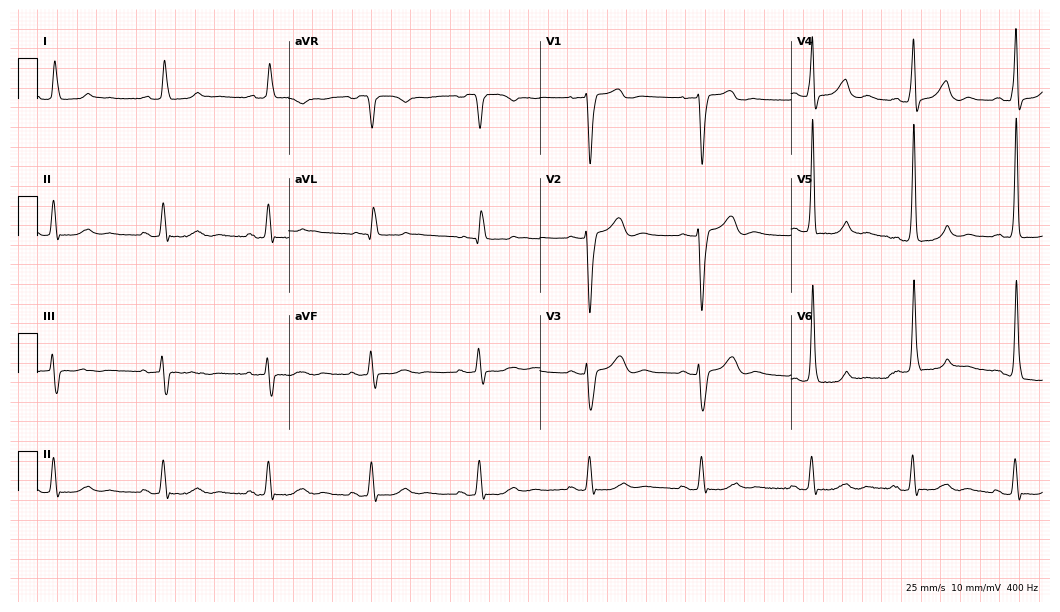
12-lead ECG from a 69-year-old female. No first-degree AV block, right bundle branch block, left bundle branch block, sinus bradycardia, atrial fibrillation or sinus tachycardia recorded for this tracing. Only these six findings were labelled.